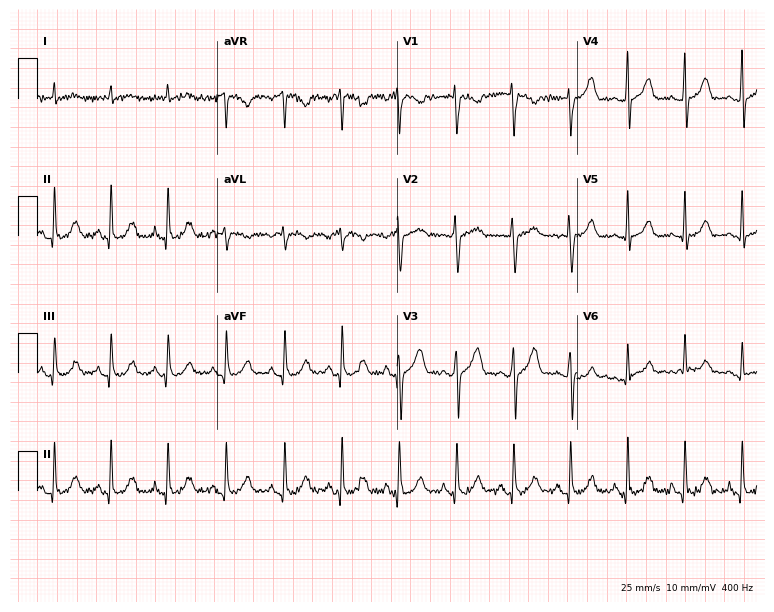
Resting 12-lead electrocardiogram. Patient: a 53-year-old male. The tracing shows sinus tachycardia (a sinus rate of 100 beats per minute or more).